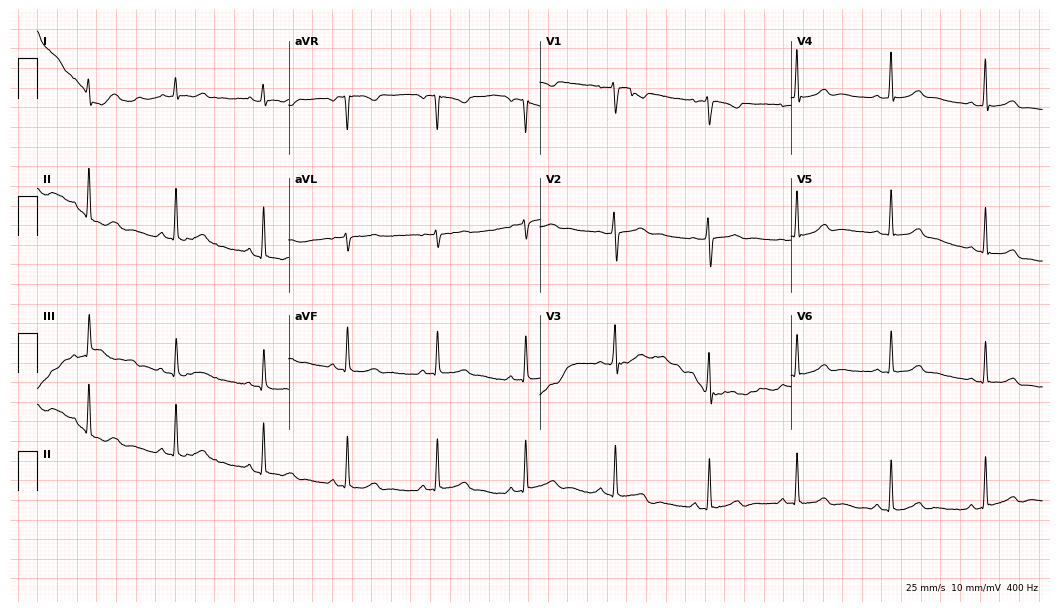
12-lead ECG from a female patient, 18 years old. Screened for six findings — first-degree AV block, right bundle branch block, left bundle branch block, sinus bradycardia, atrial fibrillation, sinus tachycardia — none is recorded.